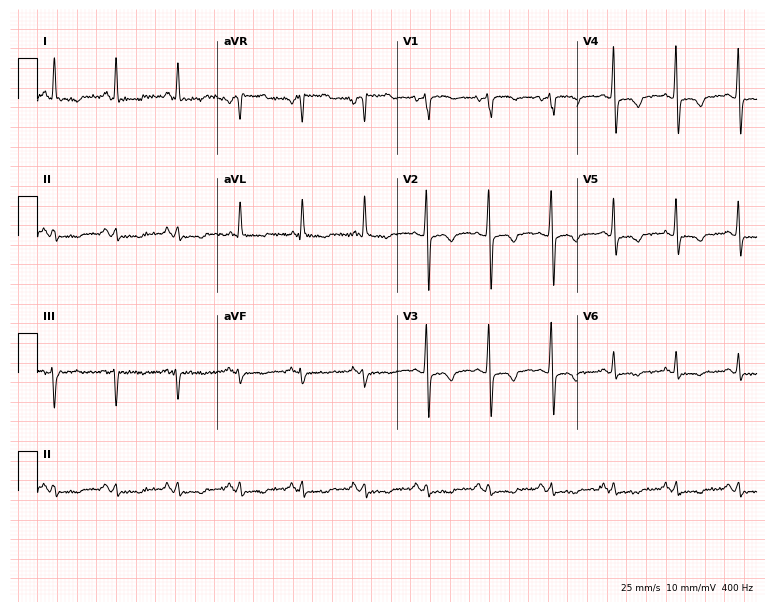
Resting 12-lead electrocardiogram (7.3-second recording at 400 Hz). Patient: a 61-year-old female. None of these six findings is recorded: first-degree AV block, right bundle branch block, left bundle branch block, sinus bradycardia, atrial fibrillation, sinus tachycardia. Other findings, if any, are not listed.